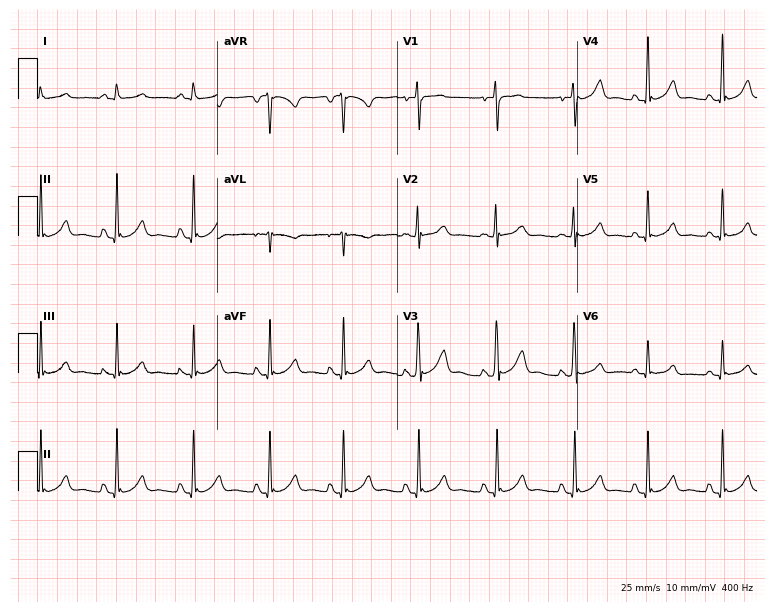
12-lead ECG from a female patient, 17 years old (7.3-second recording at 400 Hz). No first-degree AV block, right bundle branch block (RBBB), left bundle branch block (LBBB), sinus bradycardia, atrial fibrillation (AF) or sinus tachycardia recorded for this tracing.